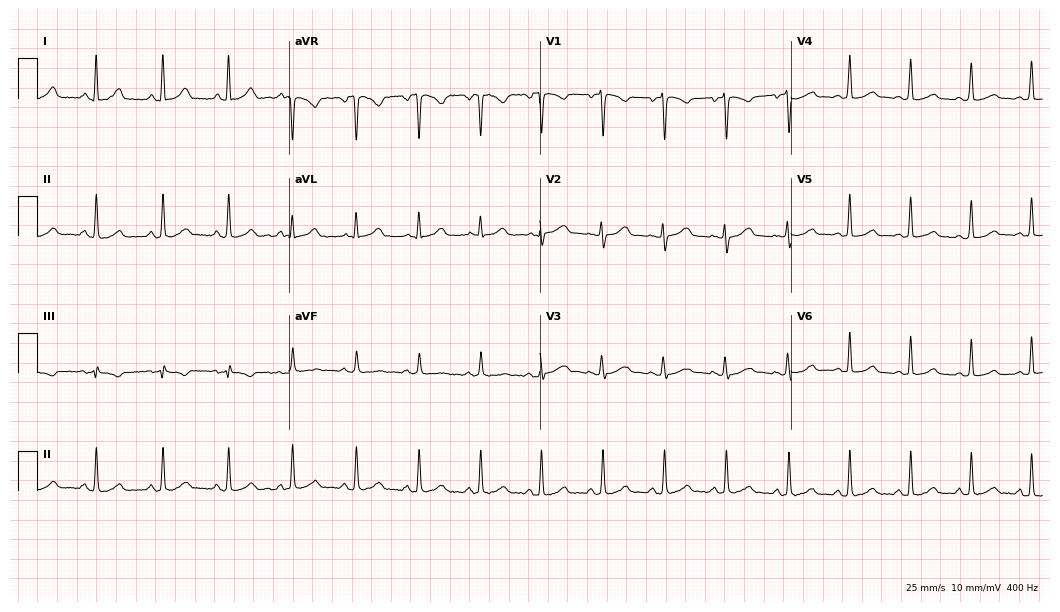
Standard 12-lead ECG recorded from a 34-year-old female. None of these six findings is recorded: first-degree AV block, right bundle branch block (RBBB), left bundle branch block (LBBB), sinus bradycardia, atrial fibrillation (AF), sinus tachycardia. Other findings, if any, are not listed.